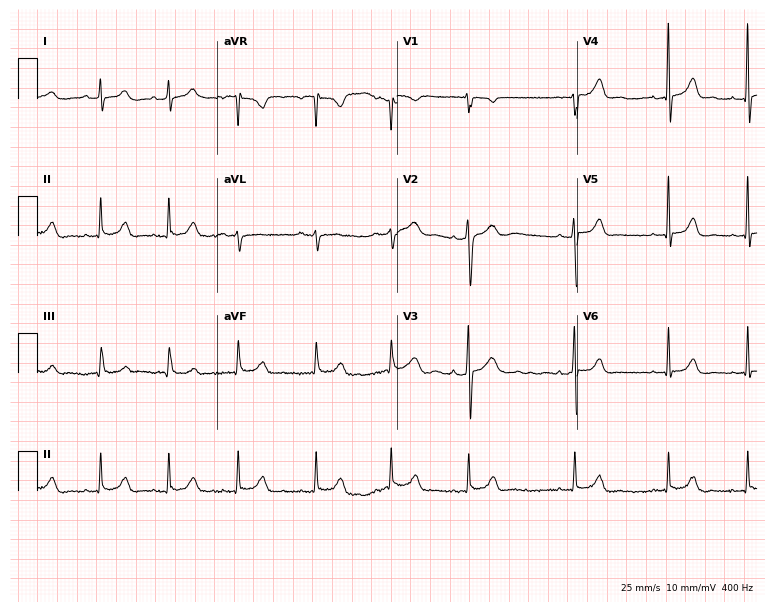
Resting 12-lead electrocardiogram (7.3-second recording at 400 Hz). Patient: a woman, 19 years old. Read as a normal ECG.